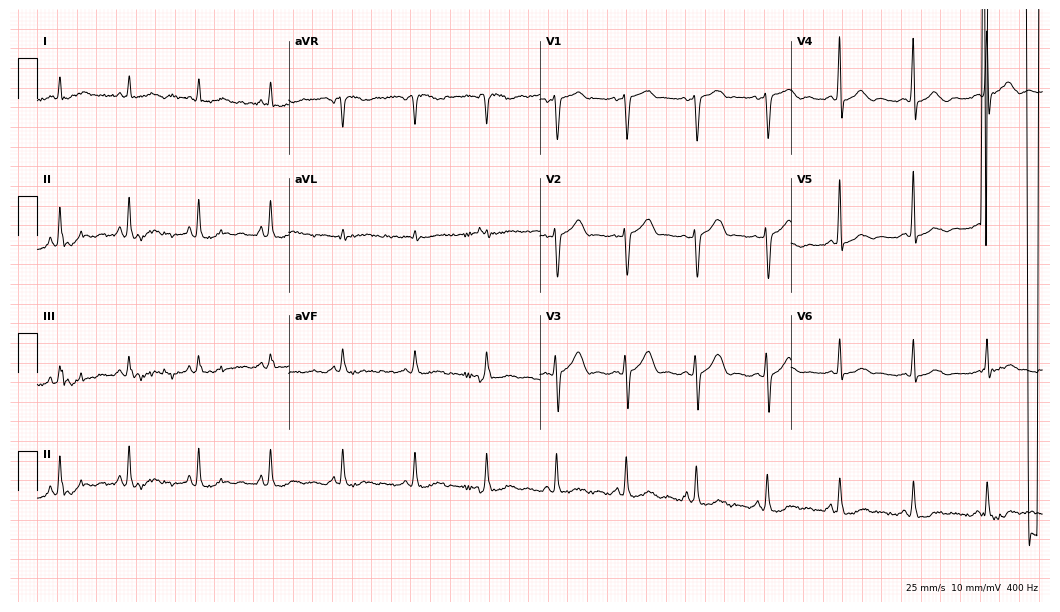
12-lead ECG from a 73-year-old man. Screened for six findings — first-degree AV block, right bundle branch block, left bundle branch block, sinus bradycardia, atrial fibrillation, sinus tachycardia — none is recorded. Only these six findings were labelled.